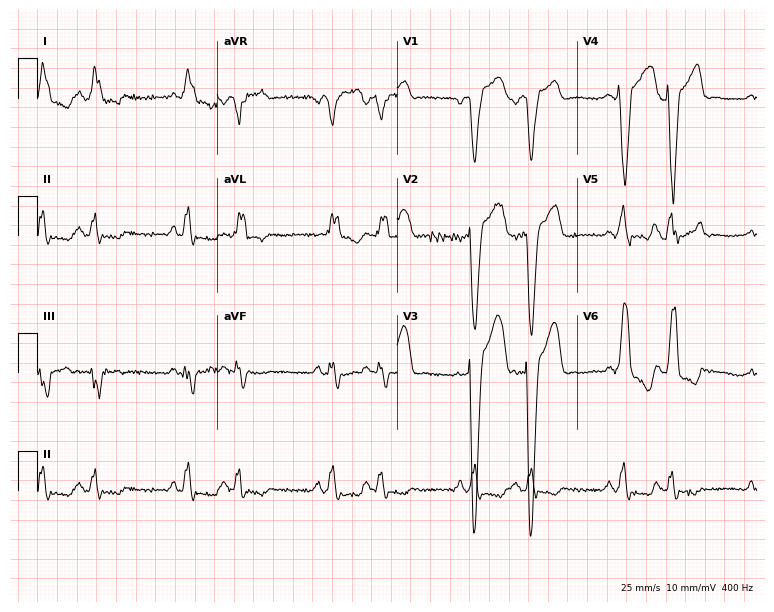
Resting 12-lead electrocardiogram. Patient: a 70-year-old male. The tracing shows left bundle branch block, atrial fibrillation.